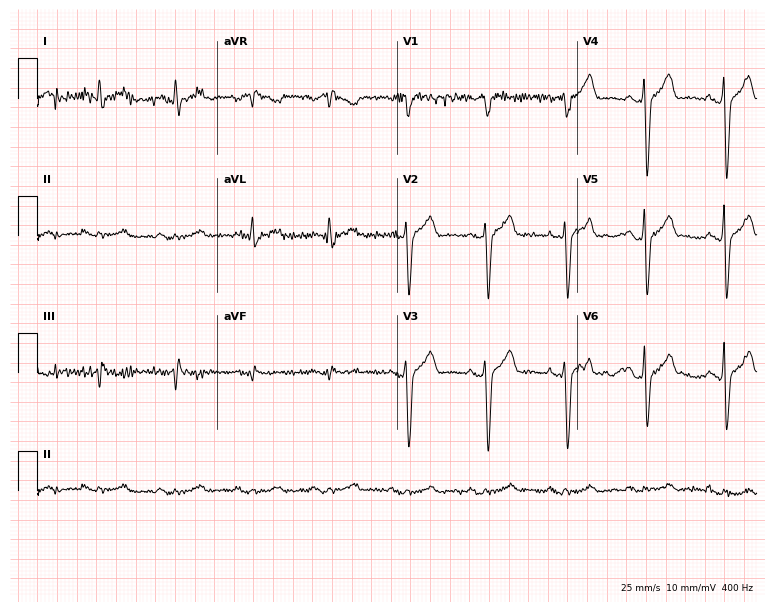
Electrocardiogram, a 73-year-old male. Of the six screened findings (first-degree AV block, right bundle branch block, left bundle branch block, sinus bradycardia, atrial fibrillation, sinus tachycardia), none is recorded.